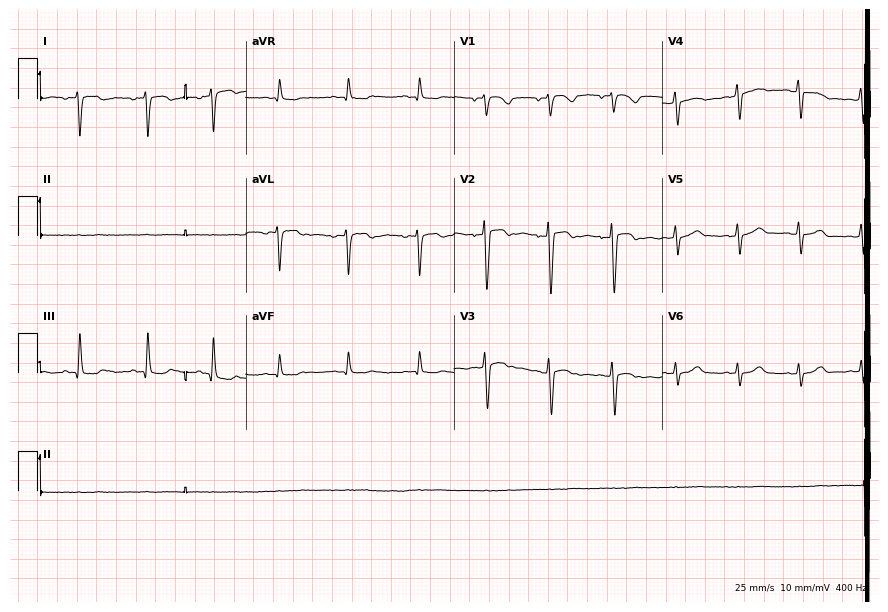
12-lead ECG from a 35-year-old male. Screened for six findings — first-degree AV block, right bundle branch block (RBBB), left bundle branch block (LBBB), sinus bradycardia, atrial fibrillation (AF), sinus tachycardia — none is recorded.